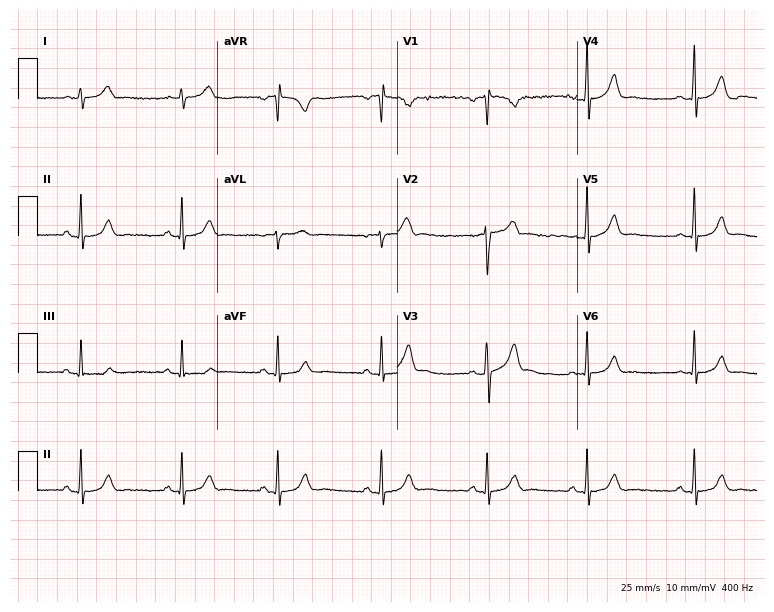
Standard 12-lead ECG recorded from a 30-year-old male (7.3-second recording at 400 Hz). Read as a normal ECG.